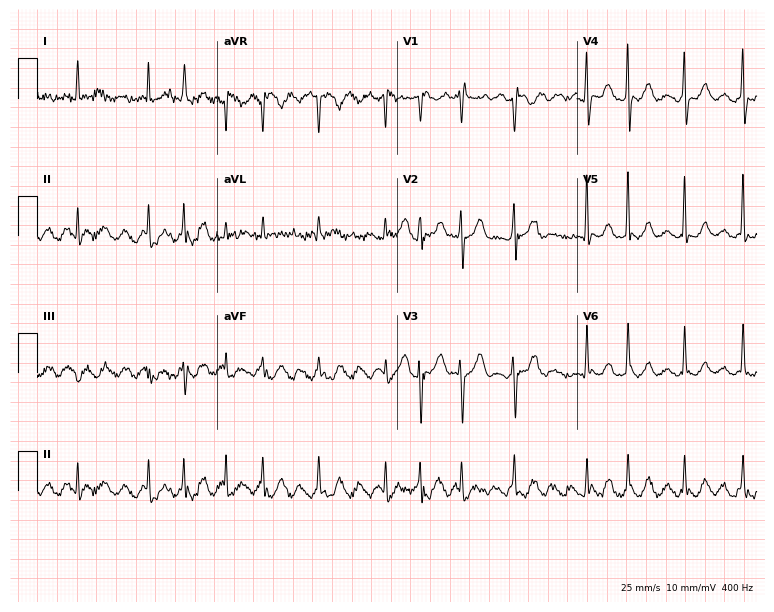
ECG — a 66-year-old female. Screened for six findings — first-degree AV block, right bundle branch block, left bundle branch block, sinus bradycardia, atrial fibrillation, sinus tachycardia — none is recorded. Other findings, if any, are not listed.